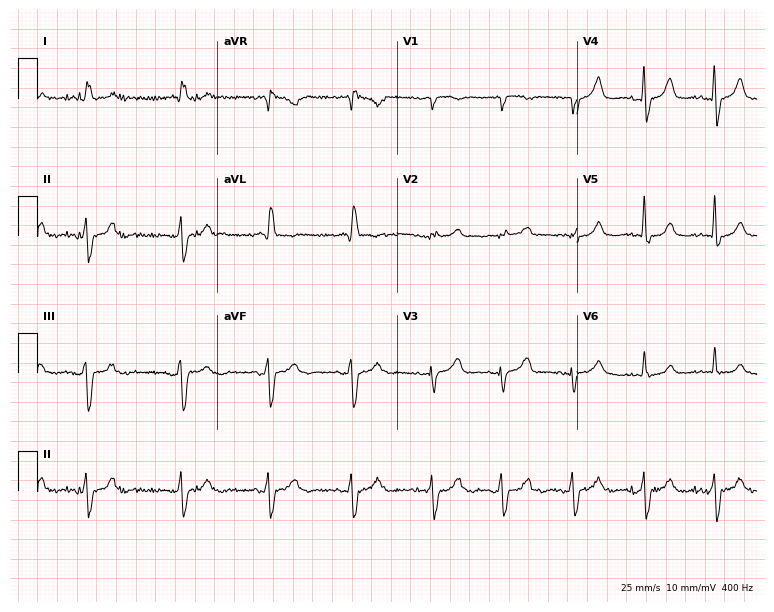
Standard 12-lead ECG recorded from a female patient, 85 years old (7.3-second recording at 400 Hz). None of these six findings is recorded: first-degree AV block, right bundle branch block, left bundle branch block, sinus bradycardia, atrial fibrillation, sinus tachycardia.